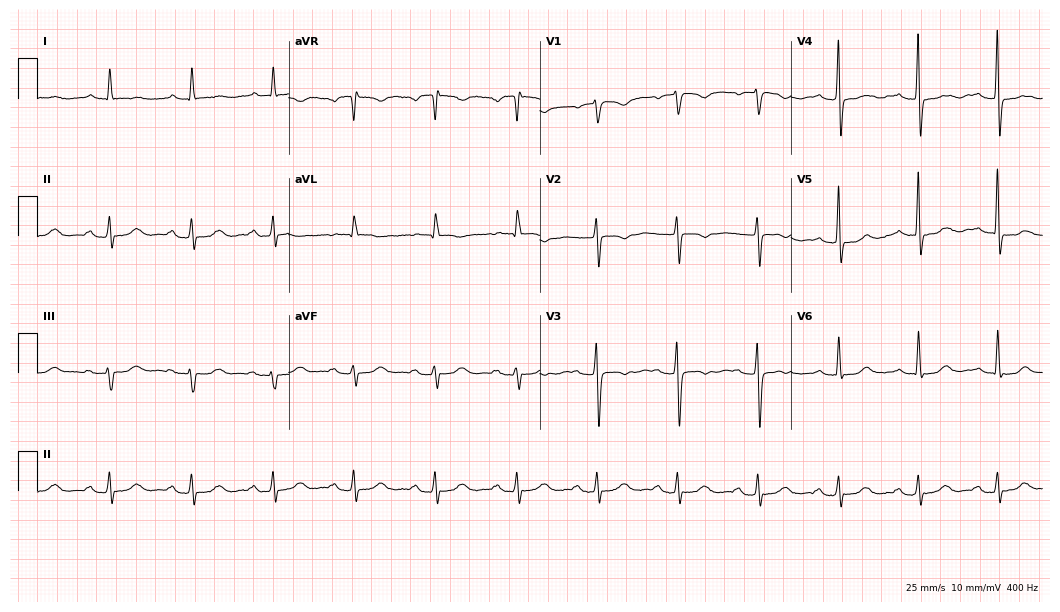
Electrocardiogram, a 62-year-old female patient. Interpretation includes first-degree AV block.